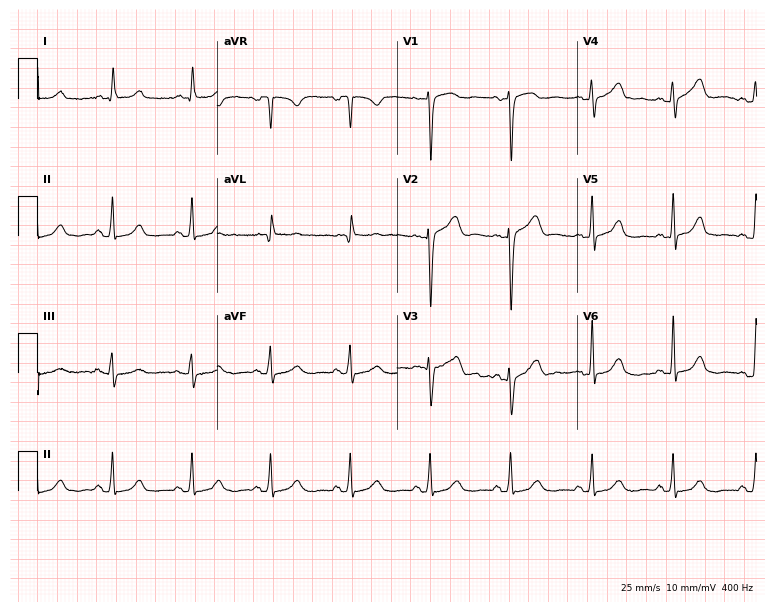
Standard 12-lead ECG recorded from a female, 68 years old. Read as a normal ECG.